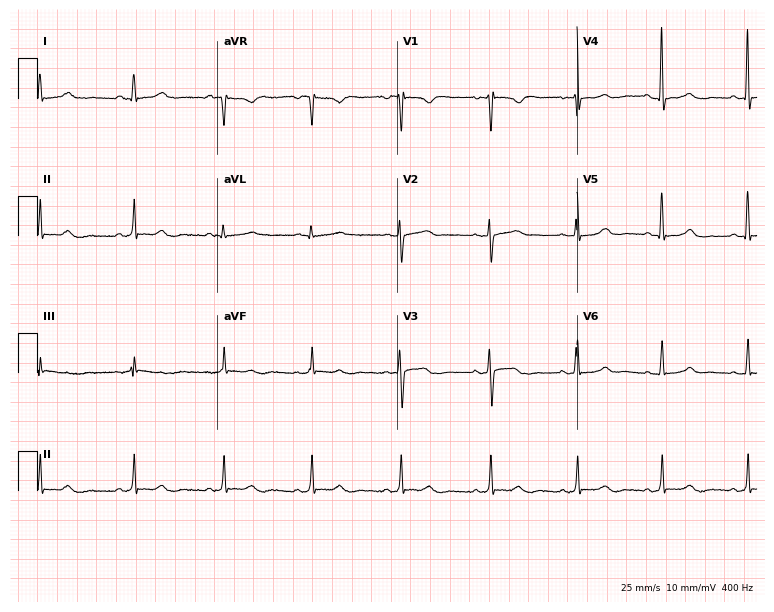
12-lead ECG from a 40-year-old female patient (7.3-second recording at 400 Hz). No first-degree AV block, right bundle branch block (RBBB), left bundle branch block (LBBB), sinus bradycardia, atrial fibrillation (AF) or sinus tachycardia recorded for this tracing. Findings outside these six are not listed.